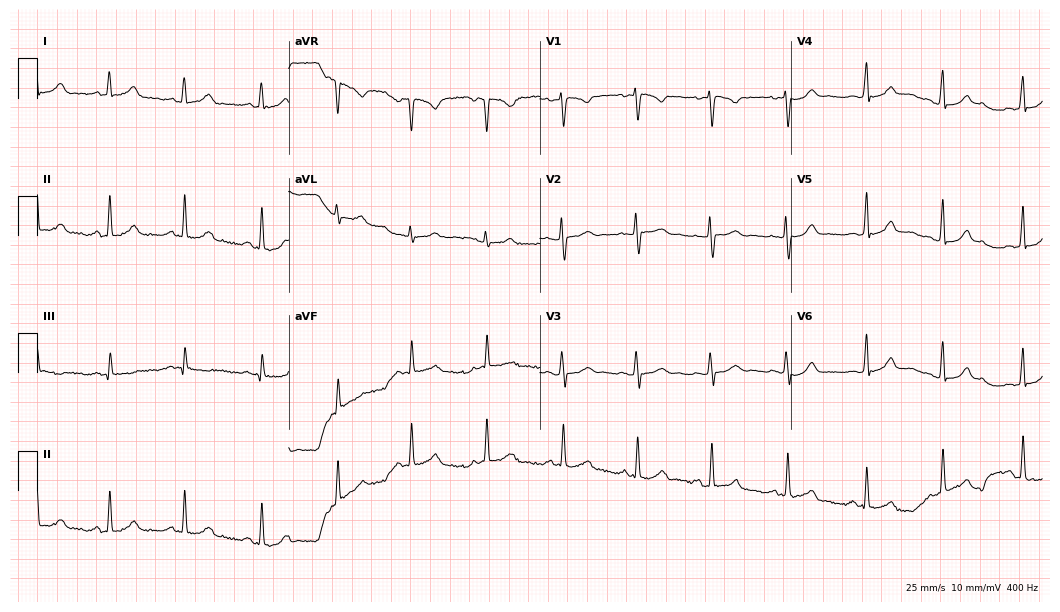
Standard 12-lead ECG recorded from a 24-year-old woman. Read as a normal ECG.